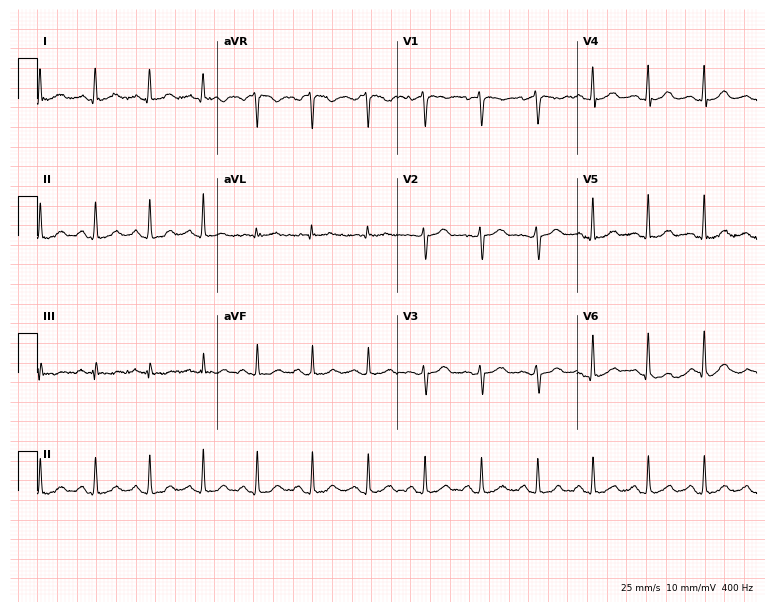
Standard 12-lead ECG recorded from a female, 43 years old. The tracing shows sinus tachycardia (a sinus rate of 100 beats per minute or more).